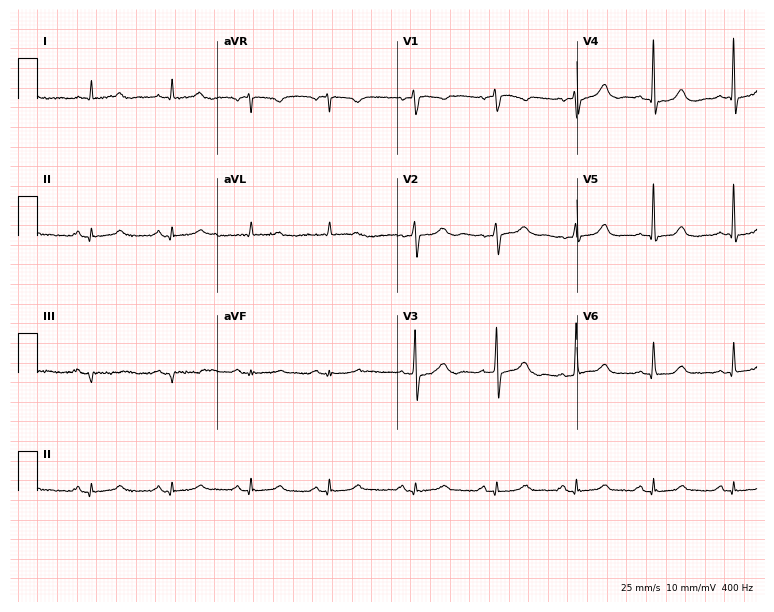
12-lead ECG from a 74-year-old male patient. Labelled as a normal ECG.